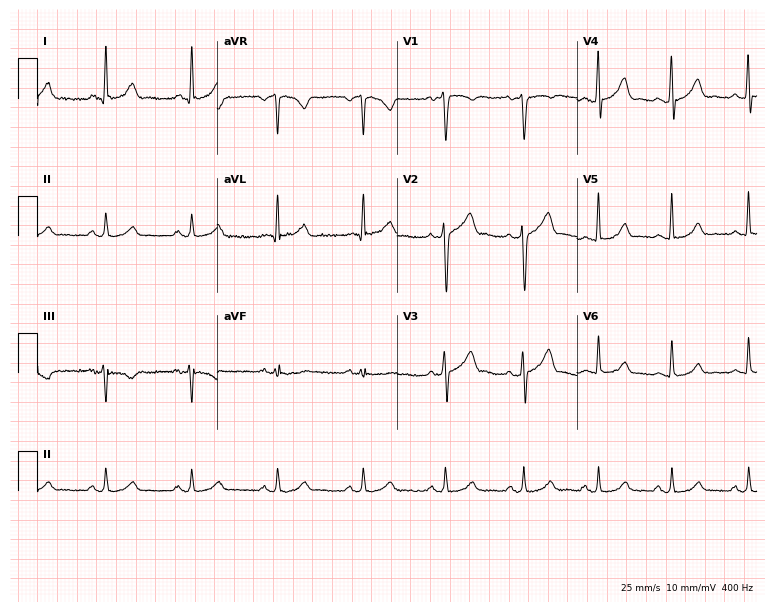
Resting 12-lead electrocardiogram (7.3-second recording at 400 Hz). Patient: a 46-year-old man. Read as a normal ECG.